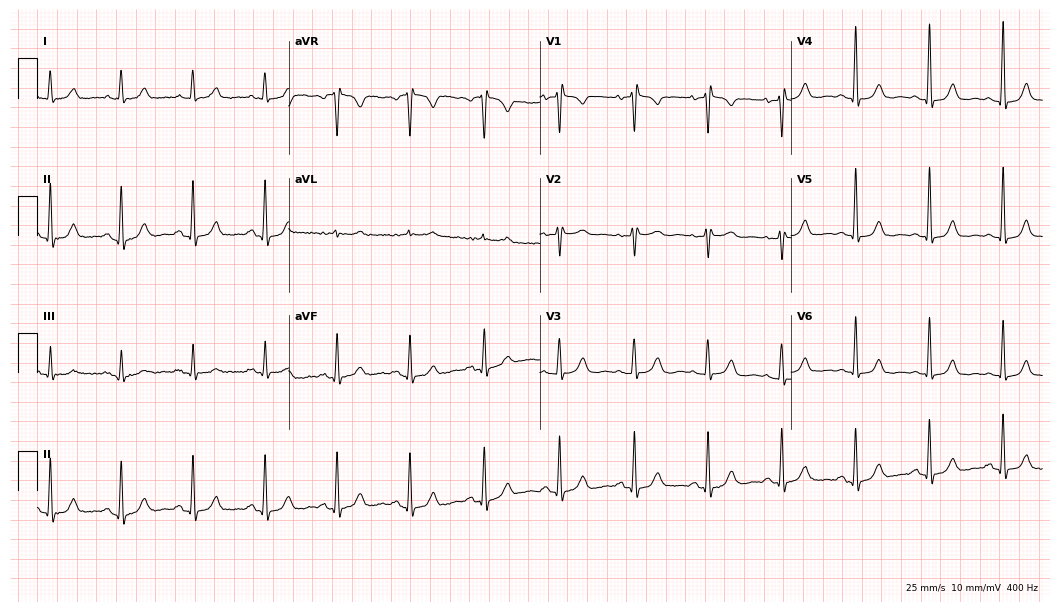
Standard 12-lead ECG recorded from a 63-year-old female (10.2-second recording at 400 Hz). None of these six findings is recorded: first-degree AV block, right bundle branch block (RBBB), left bundle branch block (LBBB), sinus bradycardia, atrial fibrillation (AF), sinus tachycardia. Only these six findings were labelled.